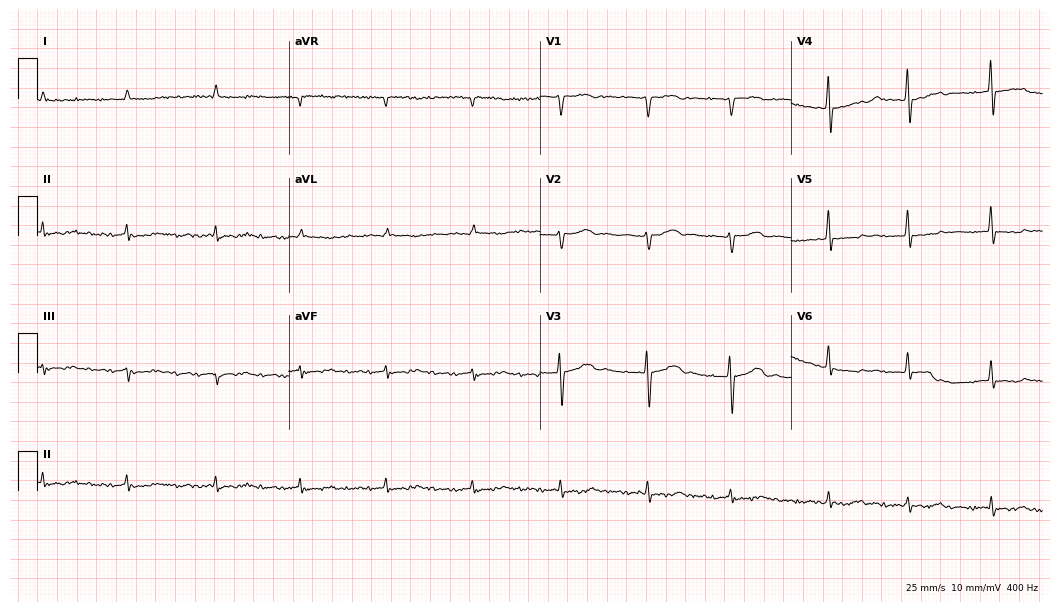
12-lead ECG from a 77-year-old male. Shows atrial fibrillation.